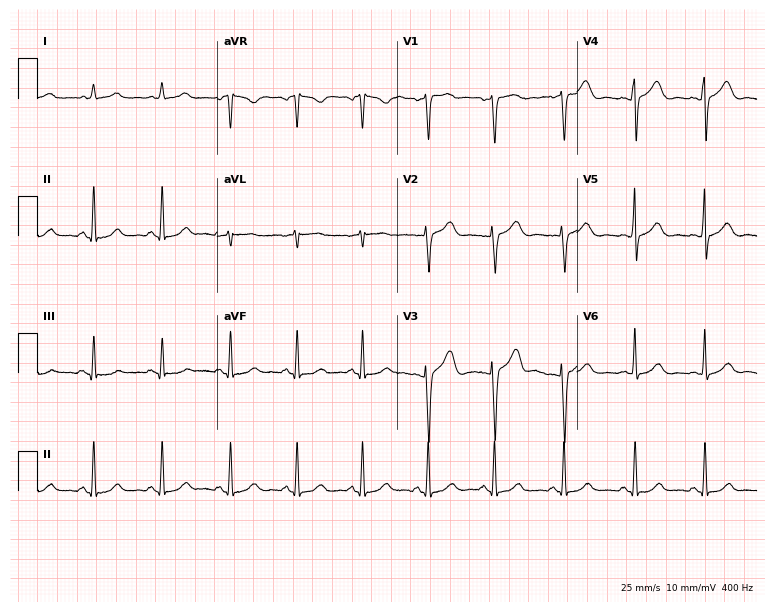
Standard 12-lead ECG recorded from a female, 53 years old (7.3-second recording at 400 Hz). Read as a normal ECG.